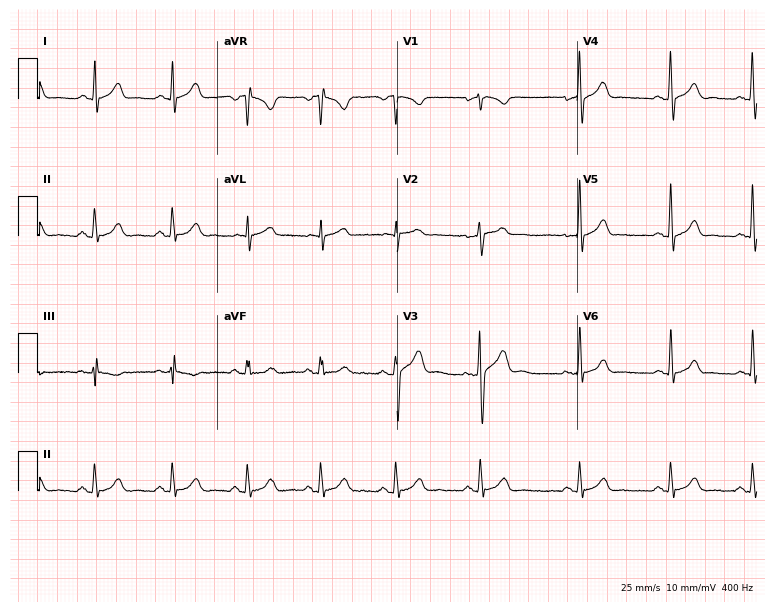
12-lead ECG from a male, 36 years old. Labelled as a normal ECG.